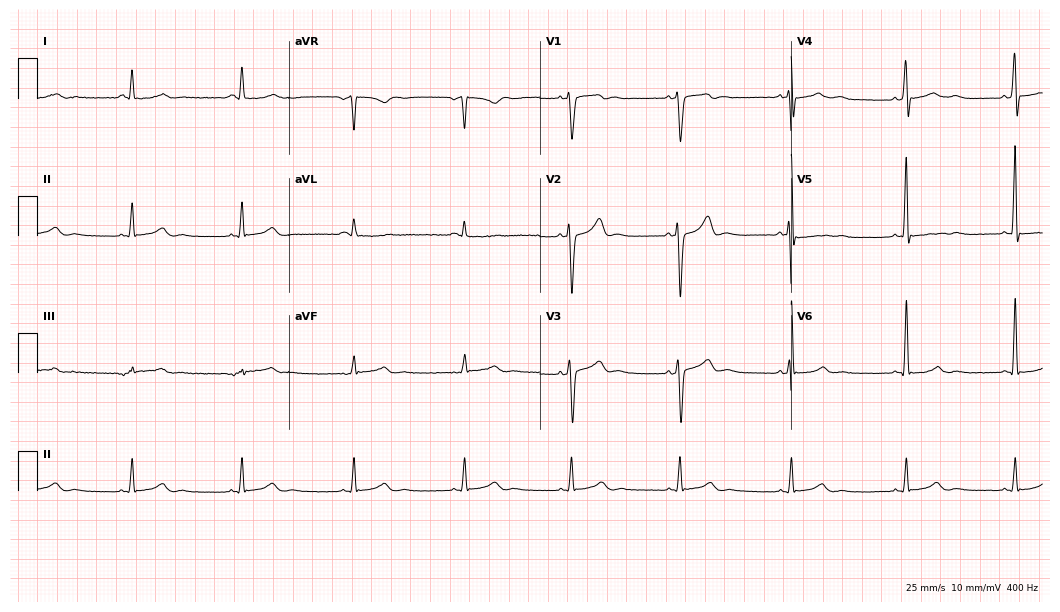
Electrocardiogram (10.2-second recording at 400 Hz), a male patient, 39 years old. Of the six screened findings (first-degree AV block, right bundle branch block (RBBB), left bundle branch block (LBBB), sinus bradycardia, atrial fibrillation (AF), sinus tachycardia), none is recorded.